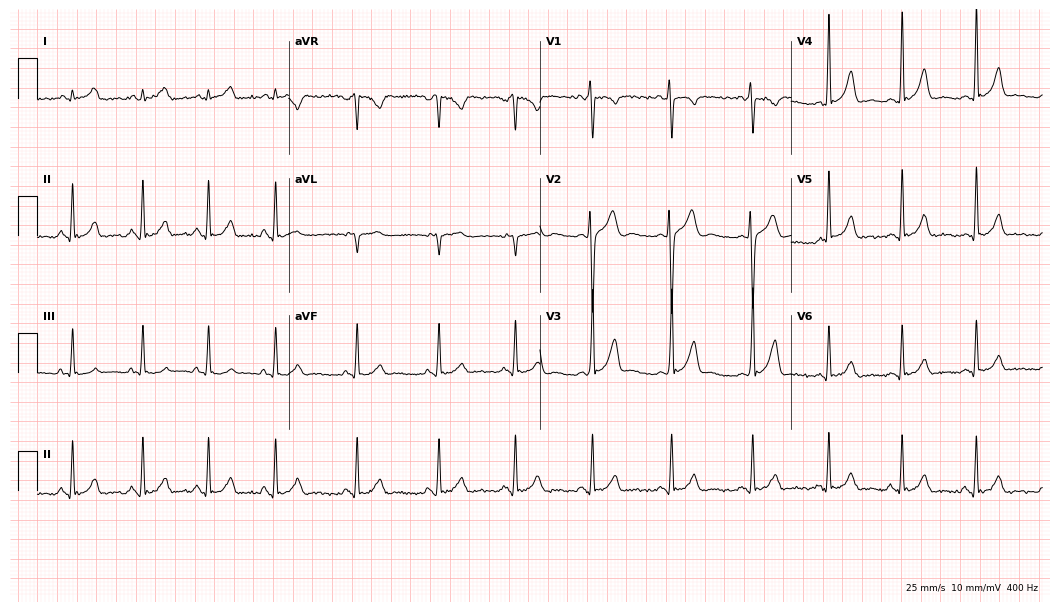
ECG (10.2-second recording at 400 Hz) — a 20-year-old male patient. Labelled as a normal ECG.